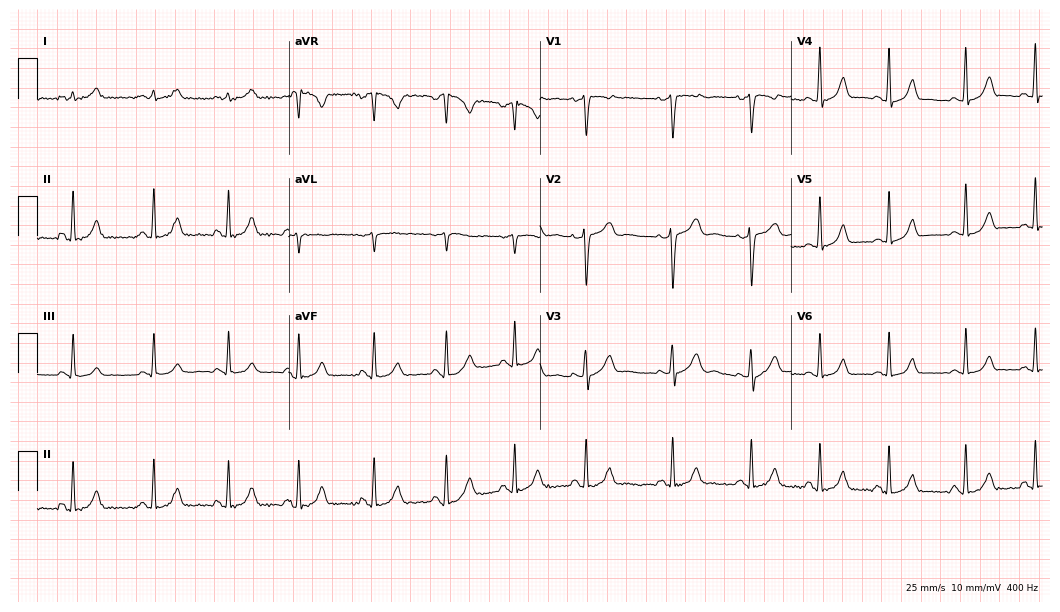
ECG (10.2-second recording at 400 Hz) — a female, 24 years old. Labelled as a normal ECG.